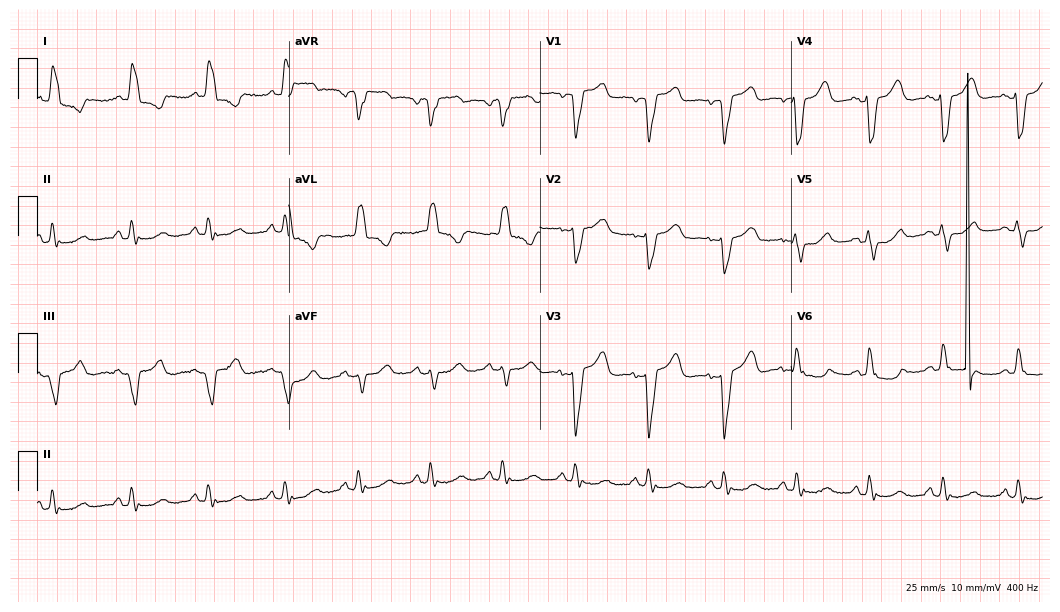
ECG — a woman, 75 years old. Screened for six findings — first-degree AV block, right bundle branch block, left bundle branch block, sinus bradycardia, atrial fibrillation, sinus tachycardia — none is recorded.